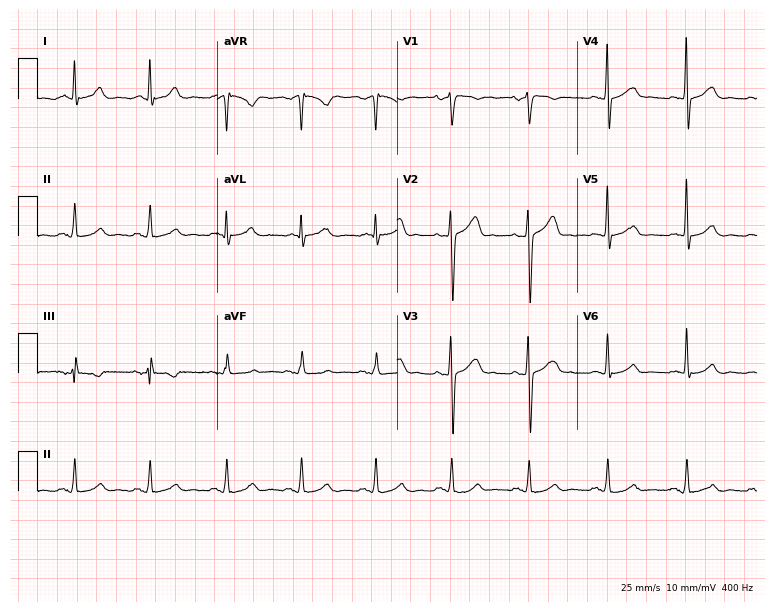
12-lead ECG (7.3-second recording at 400 Hz) from a 53-year-old male. Labelled as a normal ECG.